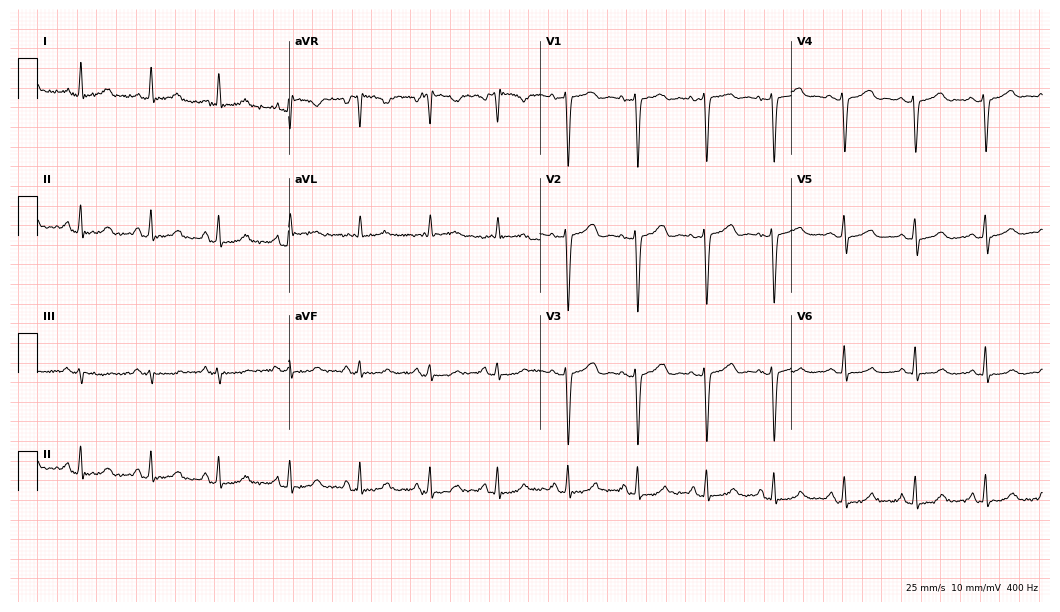
12-lead ECG (10.2-second recording at 400 Hz) from a female patient, 59 years old. Labelled as a normal ECG.